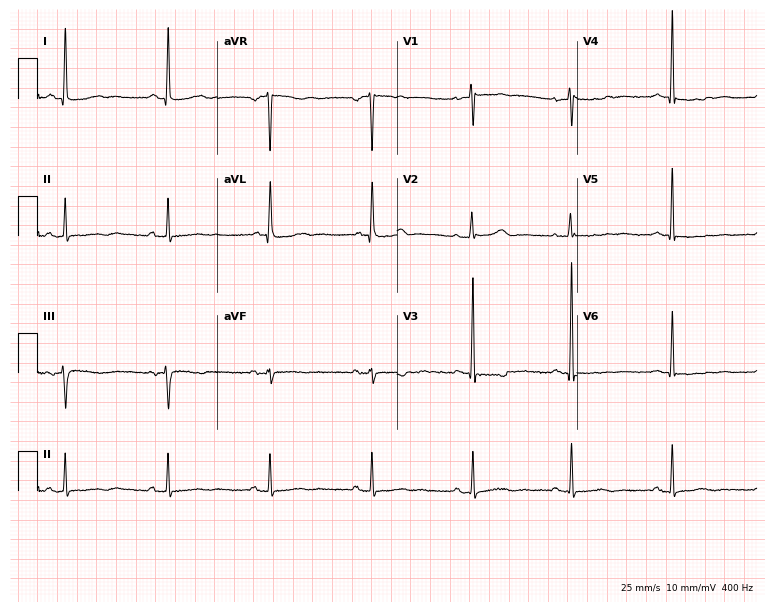
Standard 12-lead ECG recorded from a 64-year-old female (7.3-second recording at 400 Hz). None of these six findings is recorded: first-degree AV block, right bundle branch block (RBBB), left bundle branch block (LBBB), sinus bradycardia, atrial fibrillation (AF), sinus tachycardia.